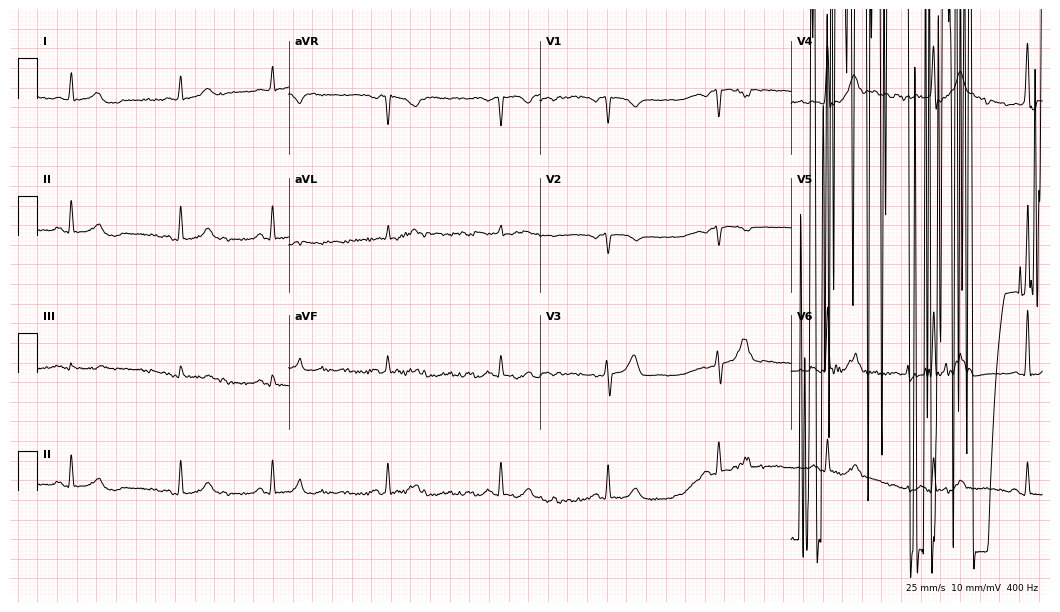
Standard 12-lead ECG recorded from a 78-year-old male. None of these six findings is recorded: first-degree AV block, right bundle branch block, left bundle branch block, sinus bradycardia, atrial fibrillation, sinus tachycardia.